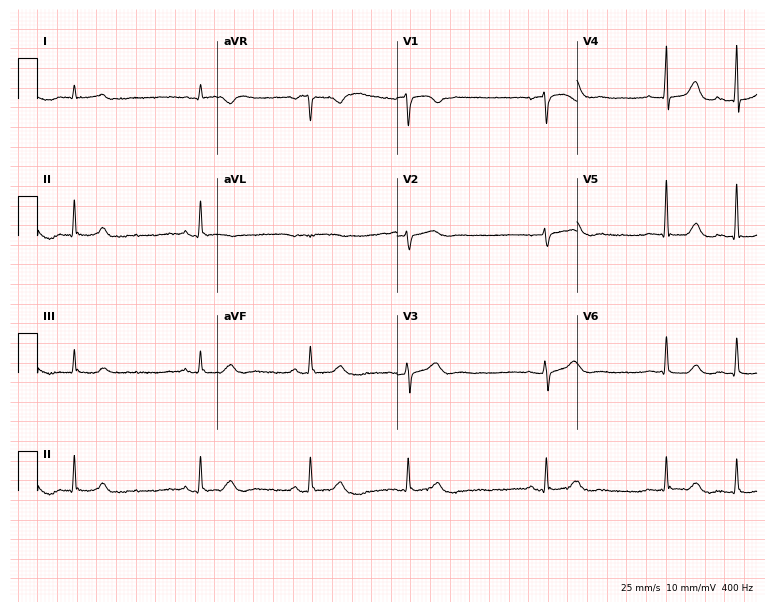
ECG — a male, 75 years old. Labelled as a normal ECG.